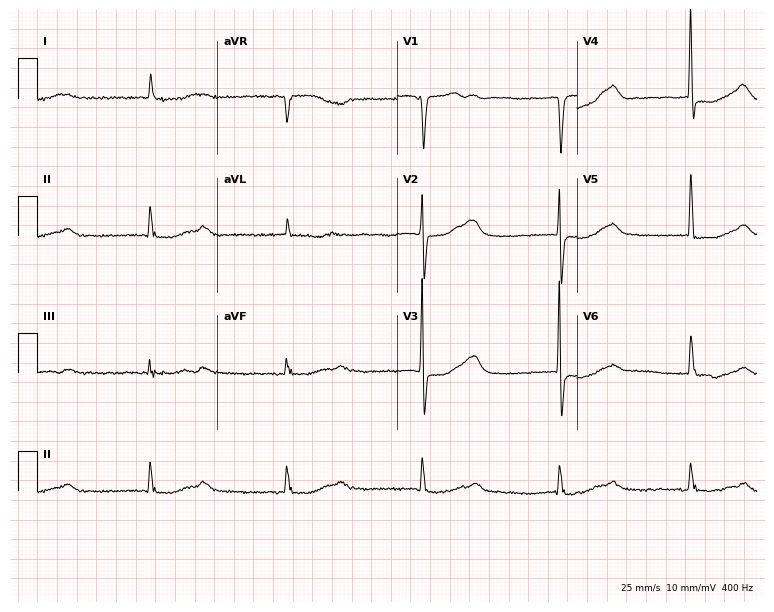
12-lead ECG from a female, 81 years old (7.3-second recording at 400 Hz). No first-degree AV block, right bundle branch block, left bundle branch block, sinus bradycardia, atrial fibrillation or sinus tachycardia recorded for this tracing.